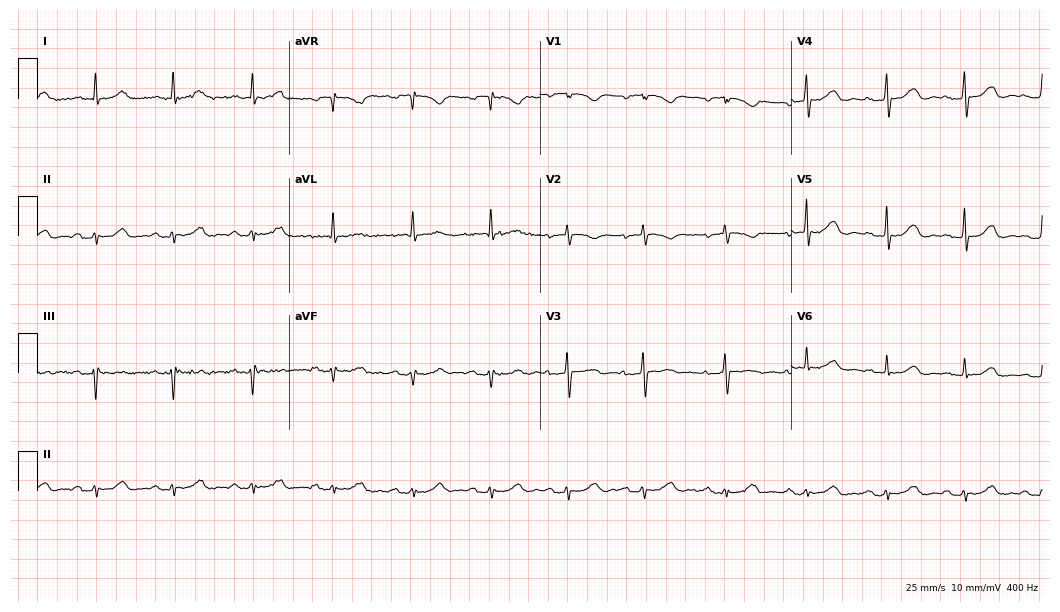
Resting 12-lead electrocardiogram. Patient: a female, 72 years old. None of these six findings is recorded: first-degree AV block, right bundle branch block, left bundle branch block, sinus bradycardia, atrial fibrillation, sinus tachycardia. Other findings, if any, are not listed.